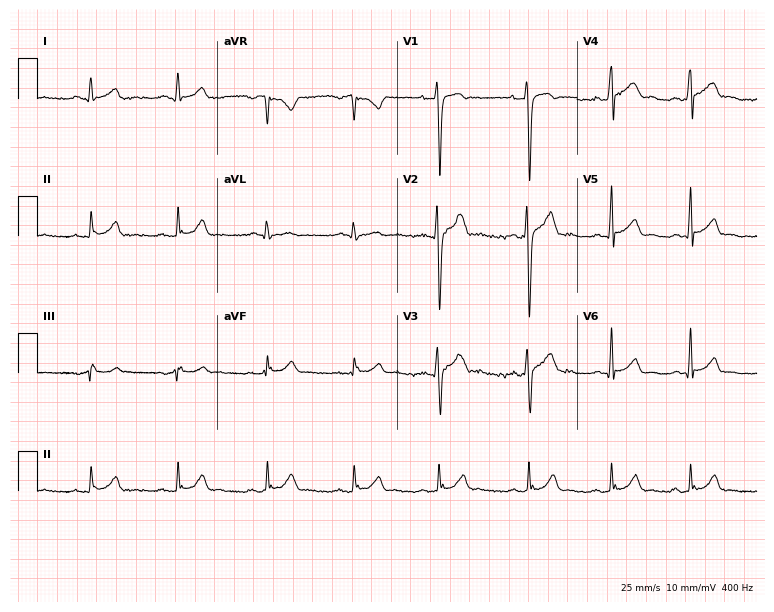
12-lead ECG from a male, 21 years old. Recorded interpretation: within normal limits.